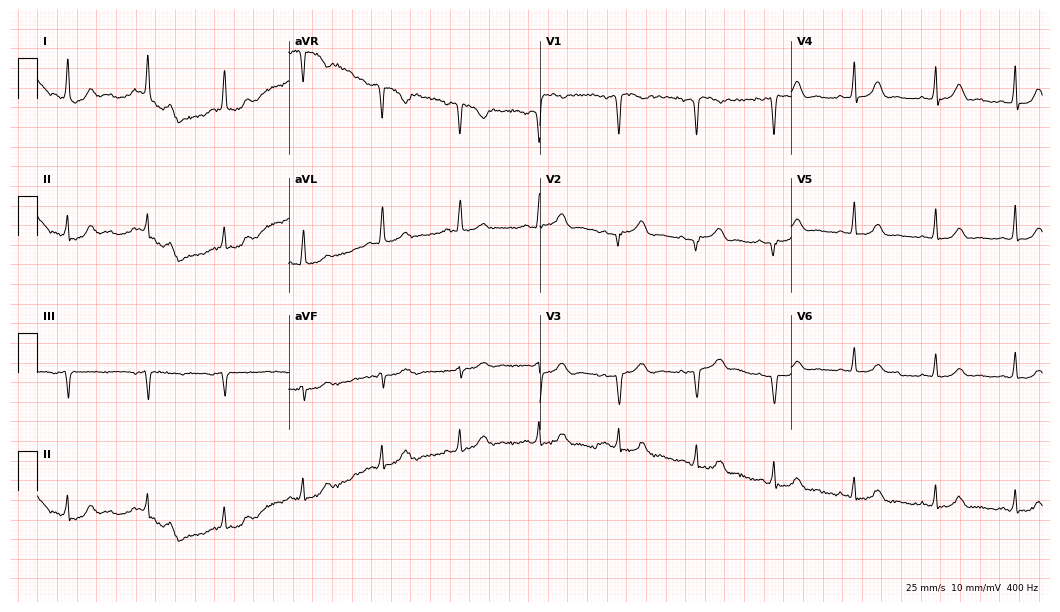
ECG (10.2-second recording at 400 Hz) — a female, 70 years old. Screened for six findings — first-degree AV block, right bundle branch block, left bundle branch block, sinus bradycardia, atrial fibrillation, sinus tachycardia — none is recorded. Other findings, if any, are not listed.